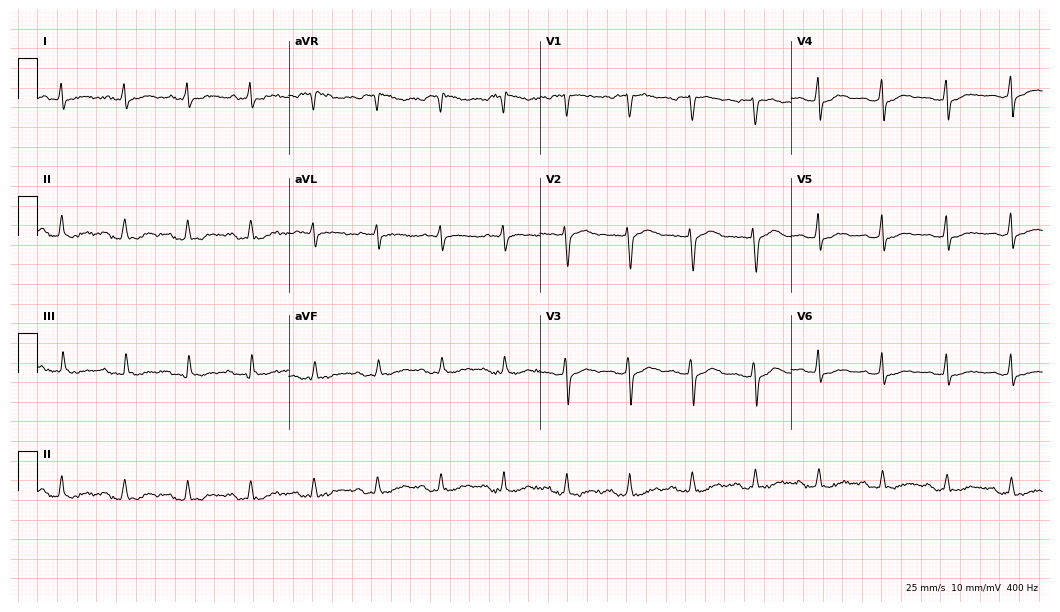
Electrocardiogram, a 75-year-old woman. Of the six screened findings (first-degree AV block, right bundle branch block, left bundle branch block, sinus bradycardia, atrial fibrillation, sinus tachycardia), none is recorded. Other findings, if any, are not listed.